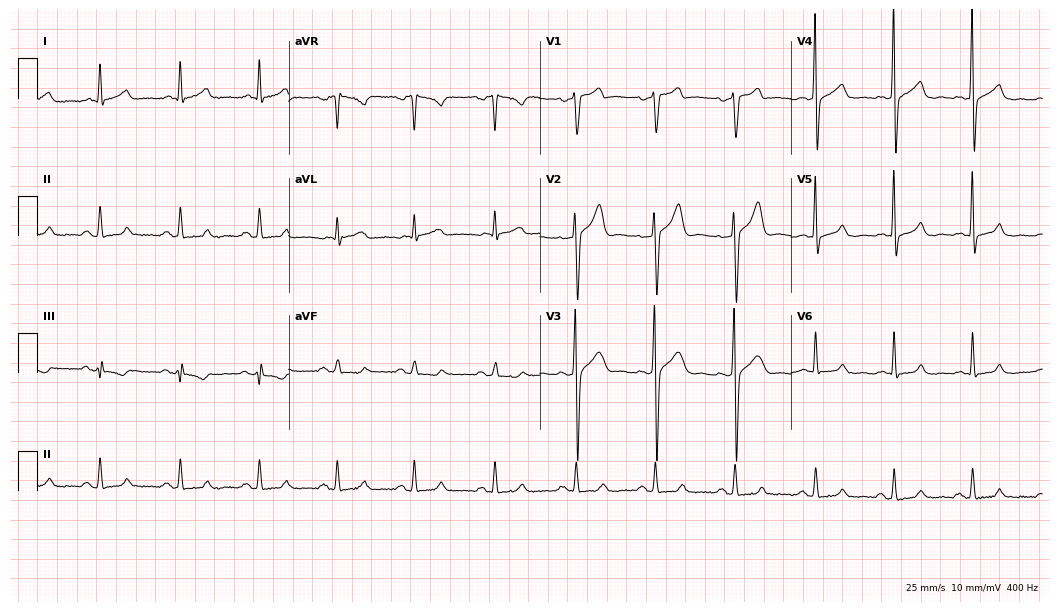
ECG (10.2-second recording at 400 Hz) — a 39-year-old male patient. Labelled as a normal ECG.